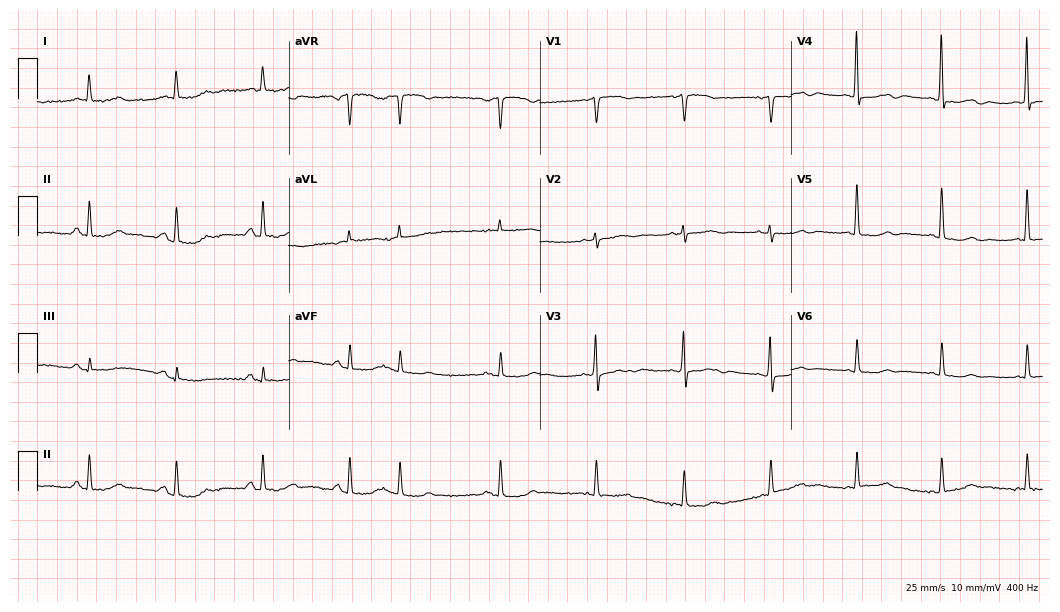
Standard 12-lead ECG recorded from a female, 84 years old (10.2-second recording at 400 Hz). None of these six findings is recorded: first-degree AV block, right bundle branch block (RBBB), left bundle branch block (LBBB), sinus bradycardia, atrial fibrillation (AF), sinus tachycardia. Only these six findings were labelled.